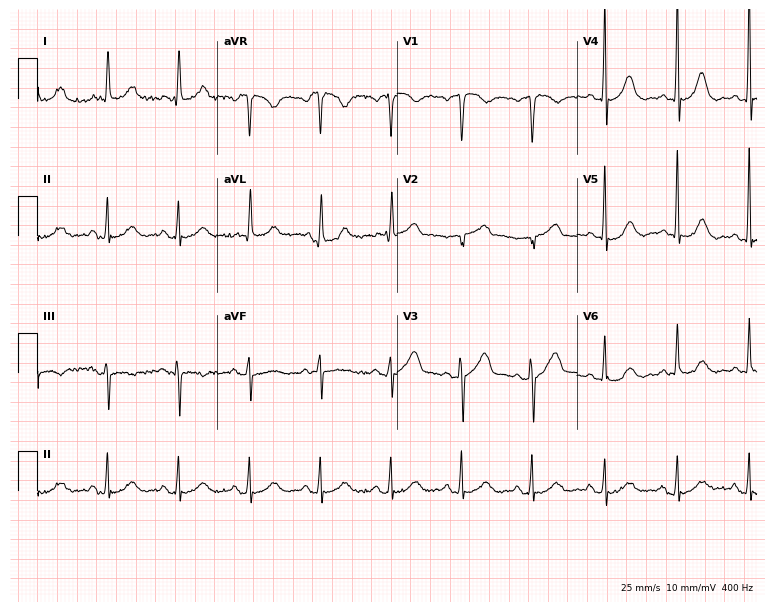
Electrocardiogram, a 63-year-old man. Overall reading on record: normal ECG.